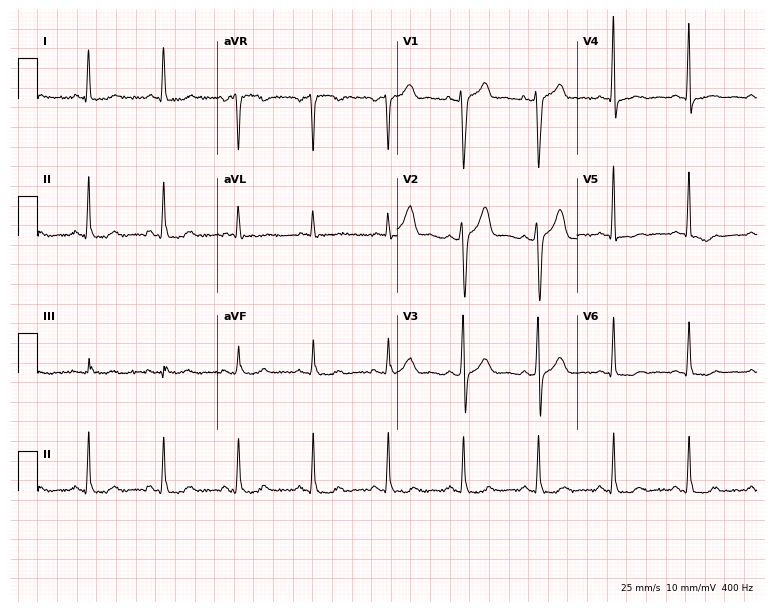
Resting 12-lead electrocardiogram (7.3-second recording at 400 Hz). Patient: a man, 61 years old. None of these six findings is recorded: first-degree AV block, right bundle branch block, left bundle branch block, sinus bradycardia, atrial fibrillation, sinus tachycardia.